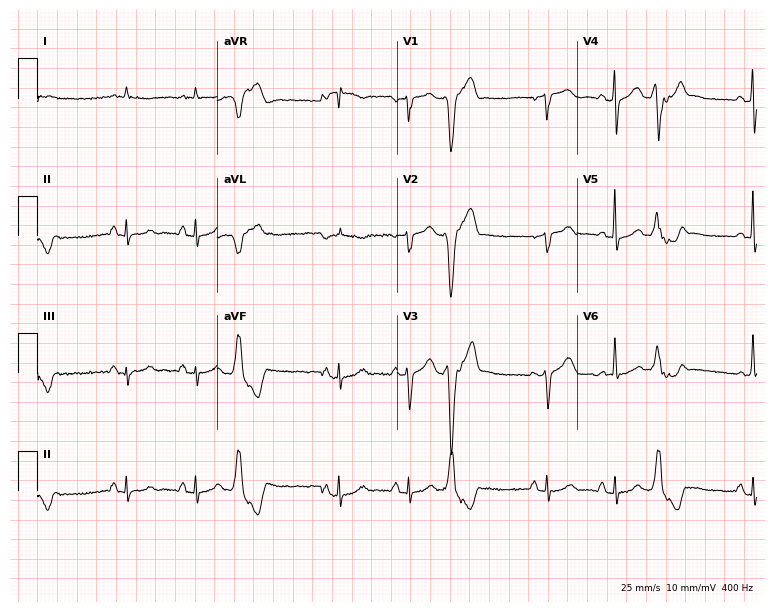
12-lead ECG from a male, 71 years old (7.3-second recording at 400 Hz). Recorded interpretation: within normal limits.